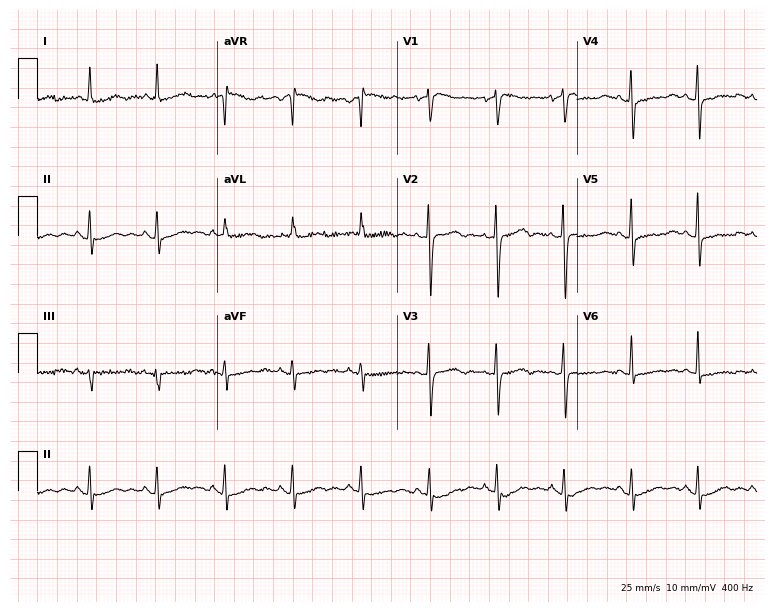
12-lead ECG from a 73-year-old female patient. No first-degree AV block, right bundle branch block, left bundle branch block, sinus bradycardia, atrial fibrillation or sinus tachycardia recorded for this tracing. Findings outside these six are not listed.